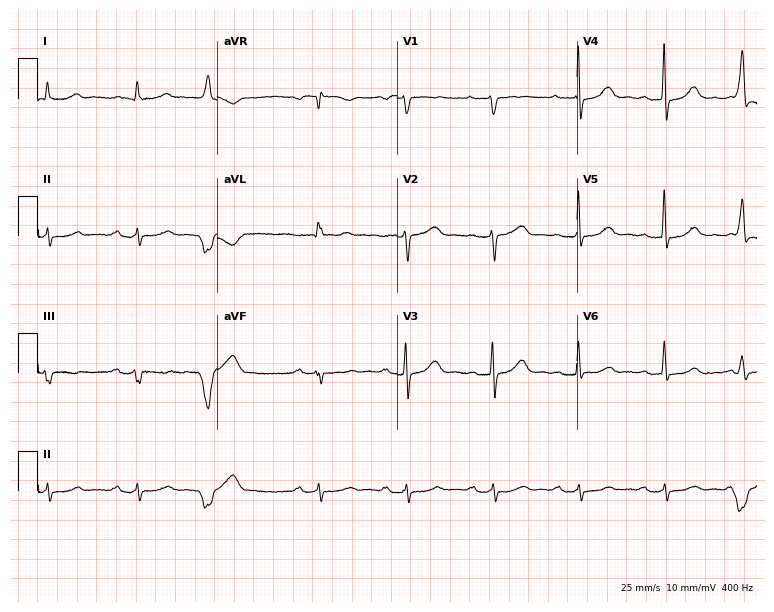
Standard 12-lead ECG recorded from a female, 79 years old. The tracing shows first-degree AV block.